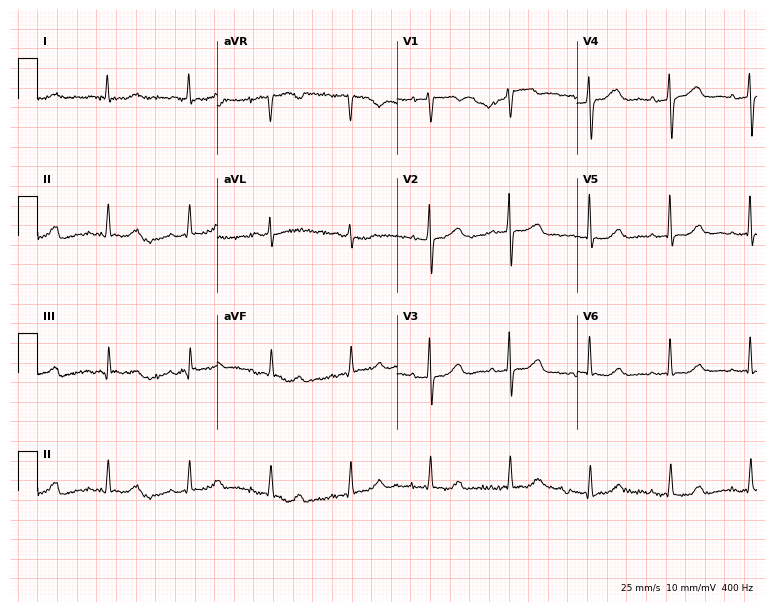
ECG — a 60-year-old female. Screened for six findings — first-degree AV block, right bundle branch block, left bundle branch block, sinus bradycardia, atrial fibrillation, sinus tachycardia — none is recorded.